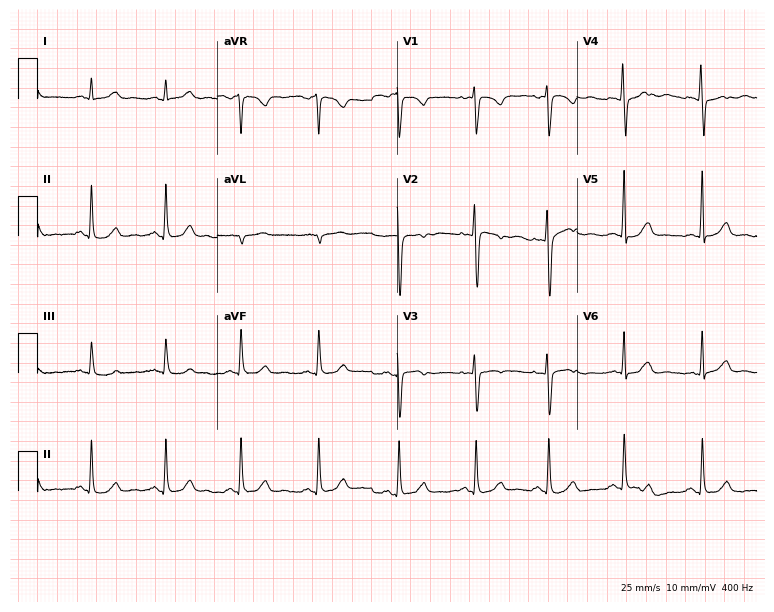
12-lead ECG from a 25-year-old female patient. Labelled as a normal ECG.